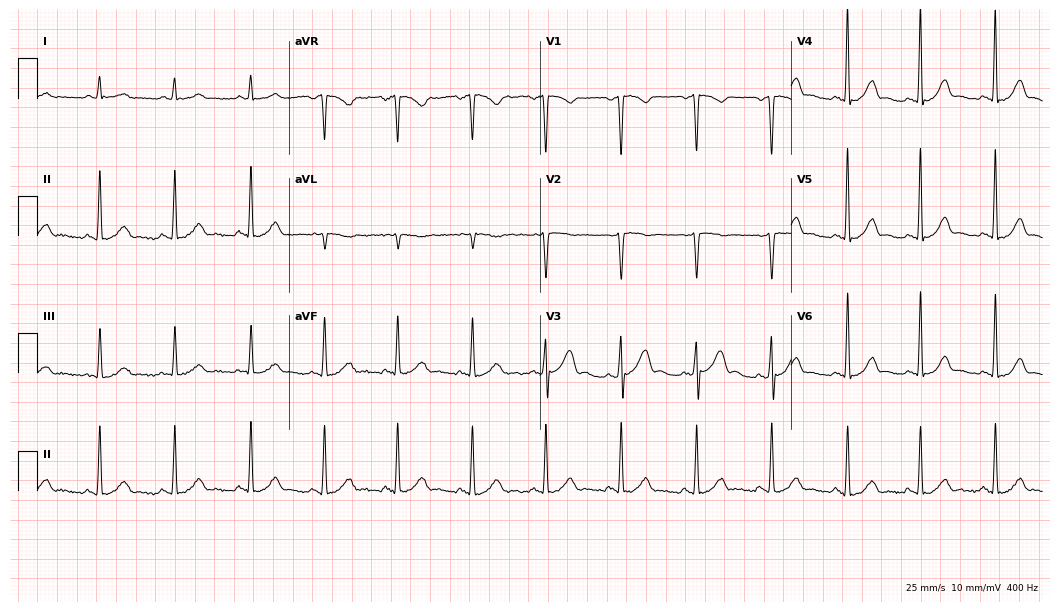
Electrocardiogram, a 49-year-old woman. Overall reading on record: normal ECG.